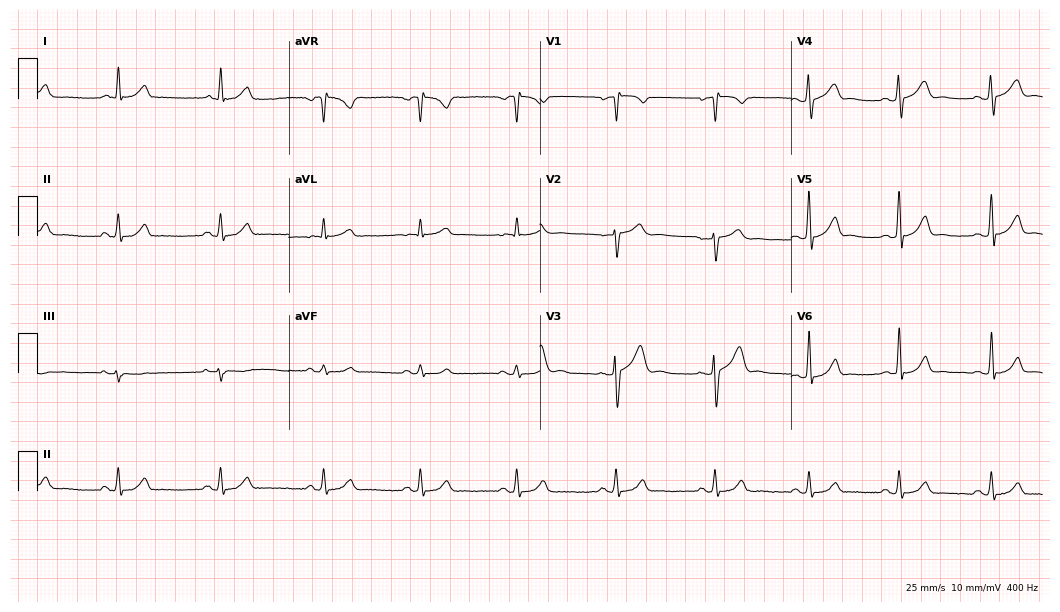
Standard 12-lead ECG recorded from a man, 42 years old (10.2-second recording at 400 Hz). Read as a normal ECG.